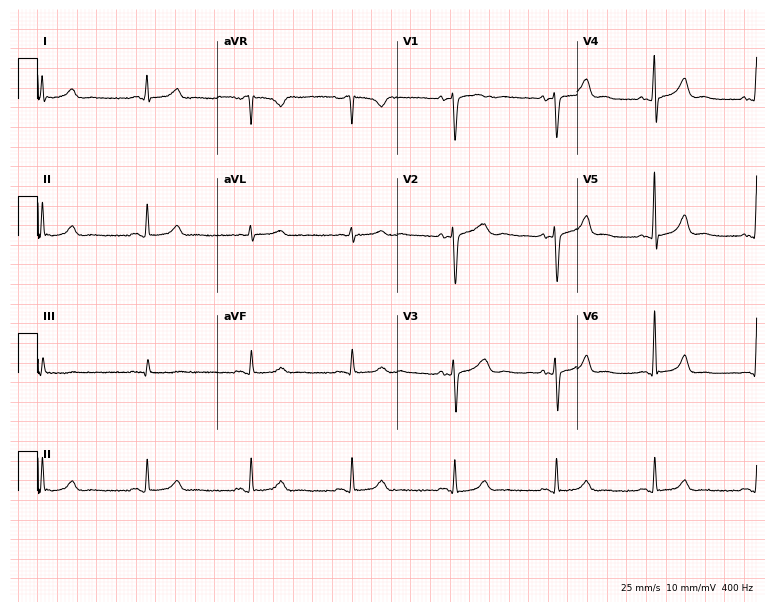
12-lead ECG from a 48-year-old woman (7.3-second recording at 400 Hz). Recorded interpretation: within normal limits.